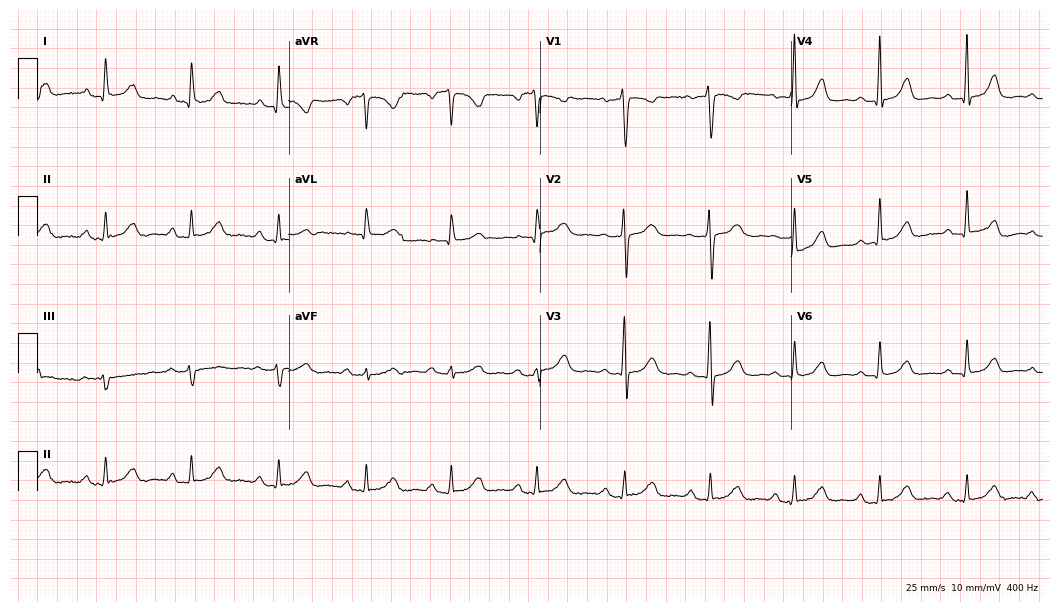
Standard 12-lead ECG recorded from a female patient, 59 years old (10.2-second recording at 400 Hz). Read as a normal ECG.